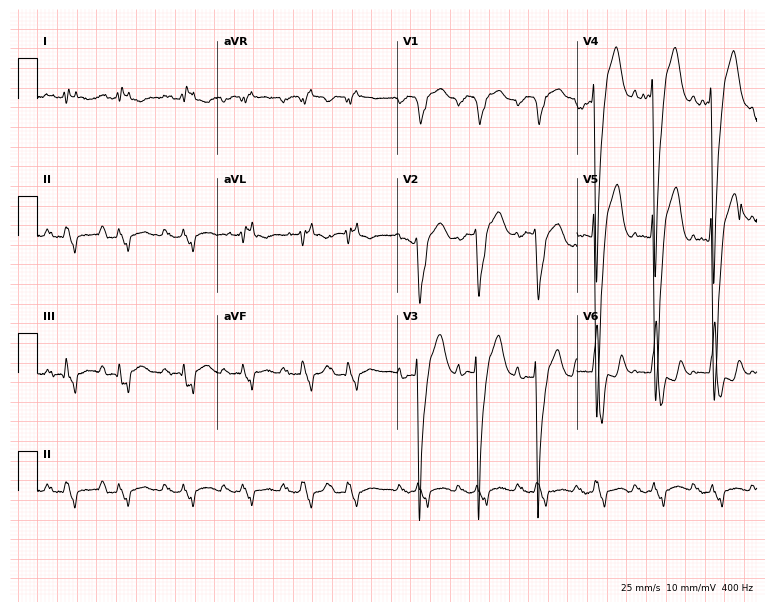
Electrocardiogram (7.3-second recording at 400 Hz), a 75-year-old man. Interpretation includes left bundle branch block (LBBB), sinus tachycardia (a sinus rate of 100 beats per minute or more).